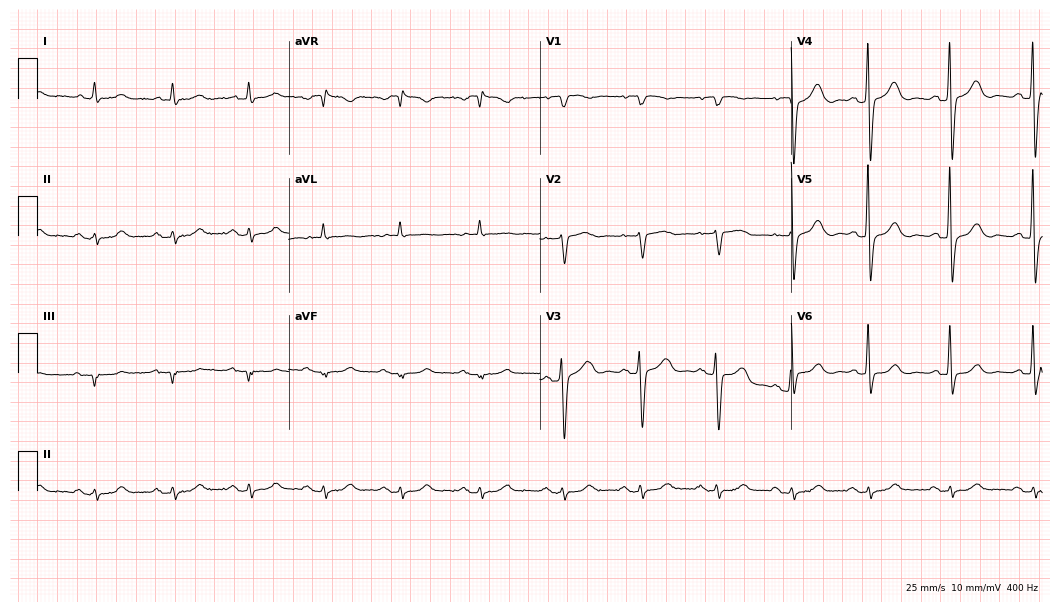
12-lead ECG from a 72-year-old male (10.2-second recording at 400 Hz). No first-degree AV block, right bundle branch block, left bundle branch block, sinus bradycardia, atrial fibrillation or sinus tachycardia recorded for this tracing.